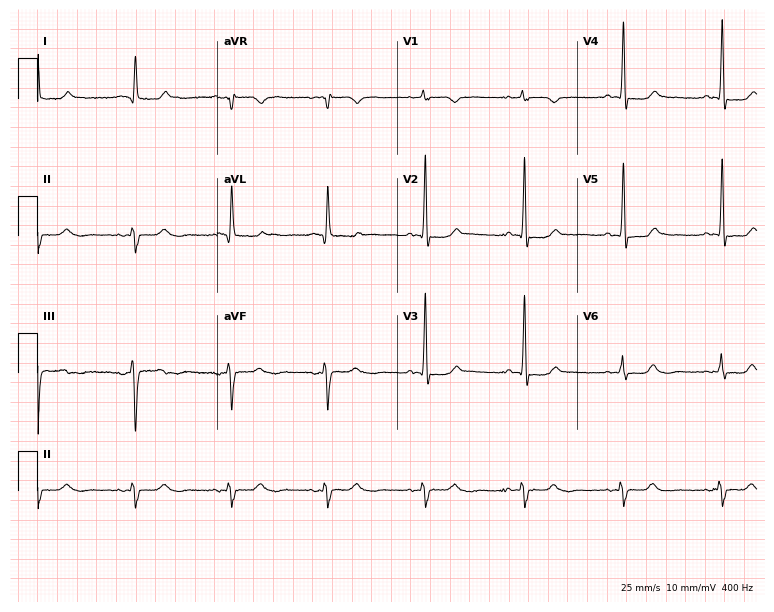
Resting 12-lead electrocardiogram. Patient: a female, 76 years old. None of these six findings is recorded: first-degree AV block, right bundle branch block, left bundle branch block, sinus bradycardia, atrial fibrillation, sinus tachycardia.